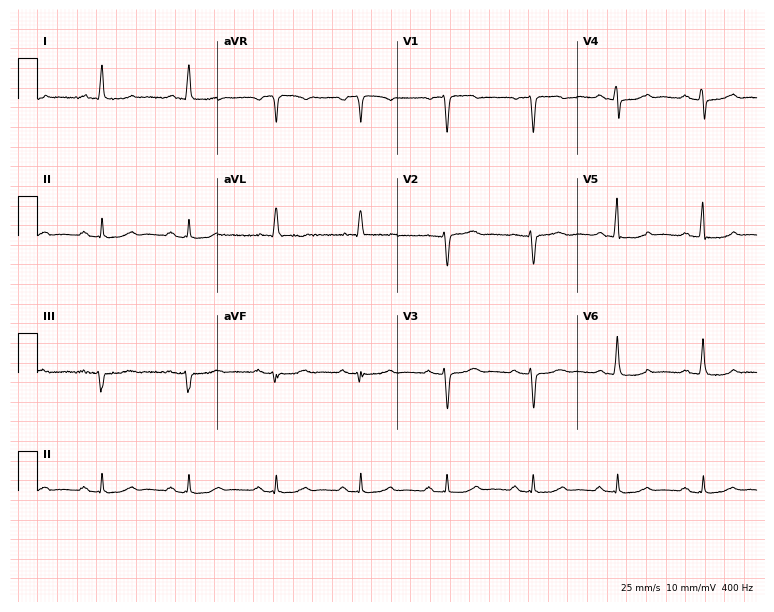
12-lead ECG from a female, 69 years old (7.3-second recording at 400 Hz). Recorded interpretation: within normal limits.